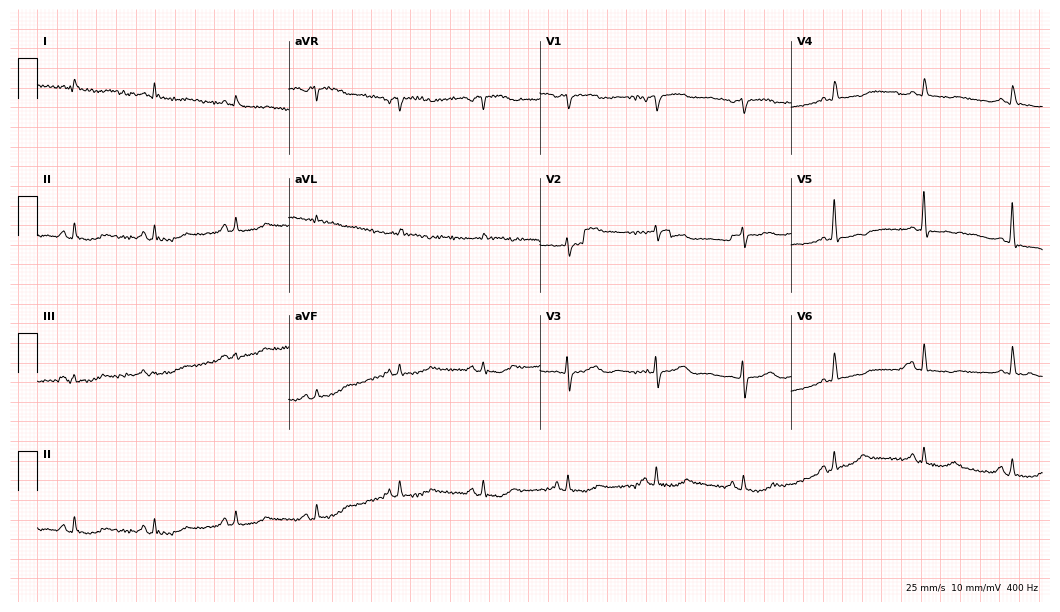
Standard 12-lead ECG recorded from a 64-year-old female. Read as a normal ECG.